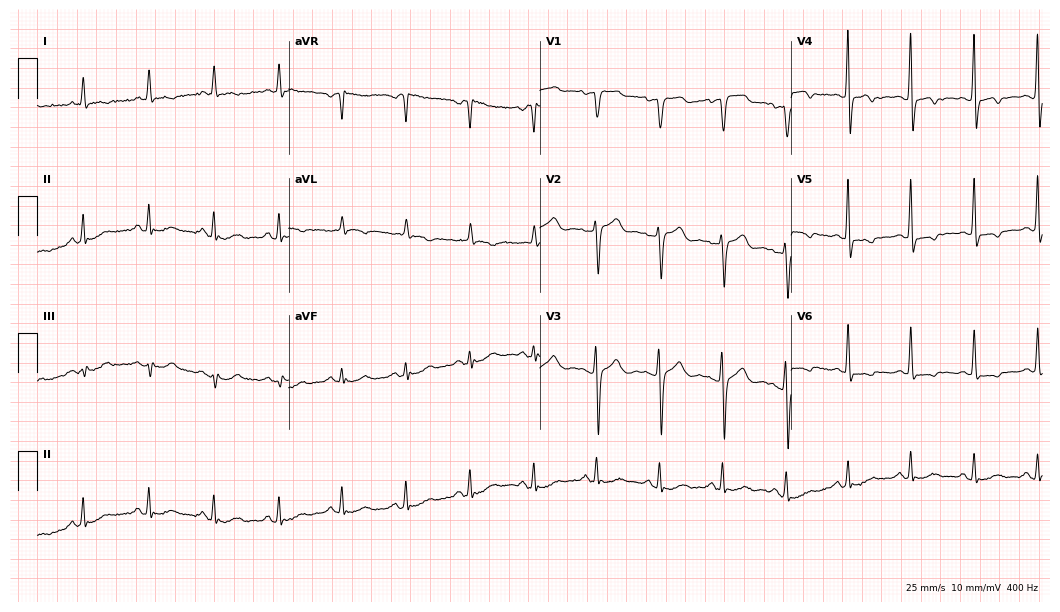
ECG — an 81-year-old female patient. Screened for six findings — first-degree AV block, right bundle branch block, left bundle branch block, sinus bradycardia, atrial fibrillation, sinus tachycardia — none is recorded.